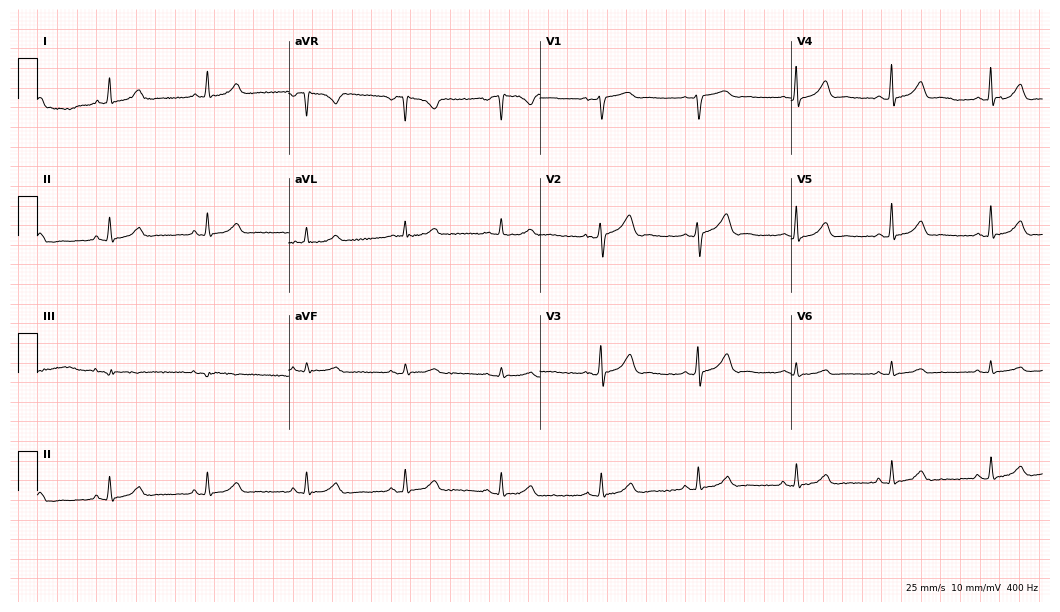
ECG (10.2-second recording at 400 Hz) — a 52-year-old female. Labelled as a normal ECG.